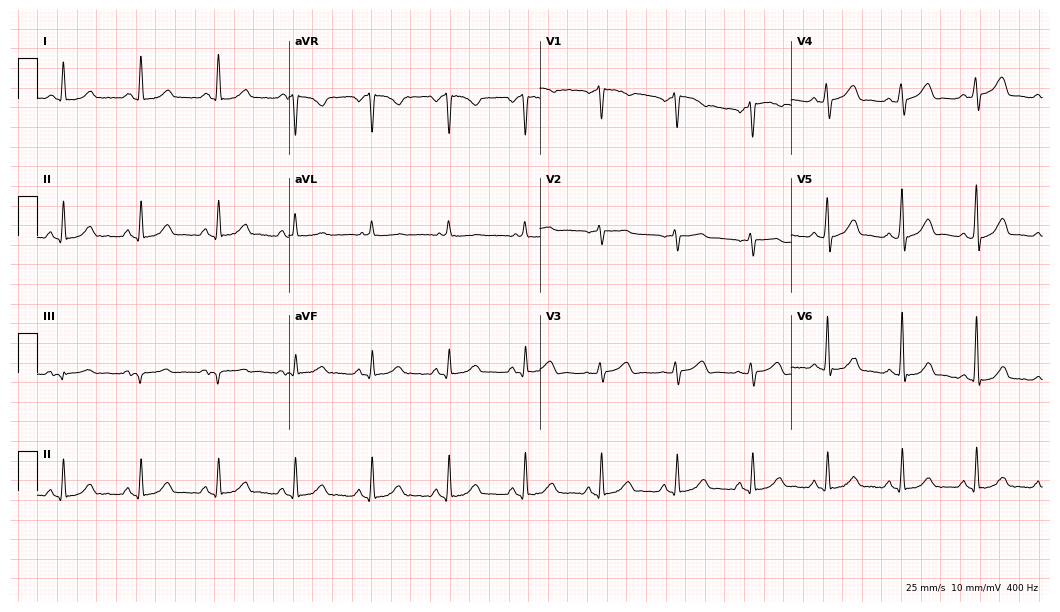
Resting 12-lead electrocardiogram. Patient: a 58-year-old woman. Read as a normal ECG.